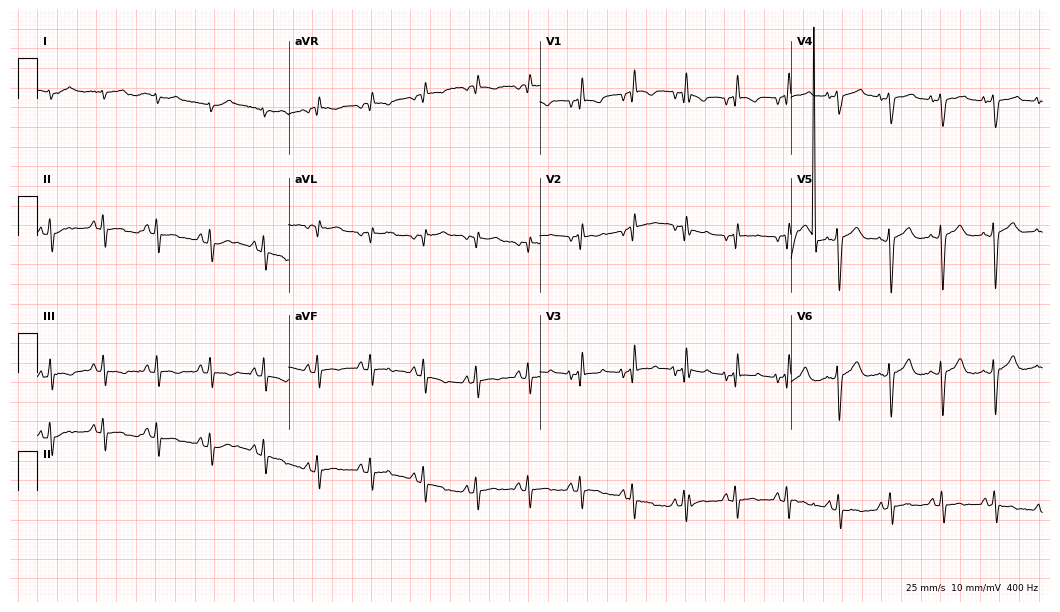
Electrocardiogram, a 63-year-old female patient. Interpretation includes sinus tachycardia (a sinus rate of 100 beats per minute or more).